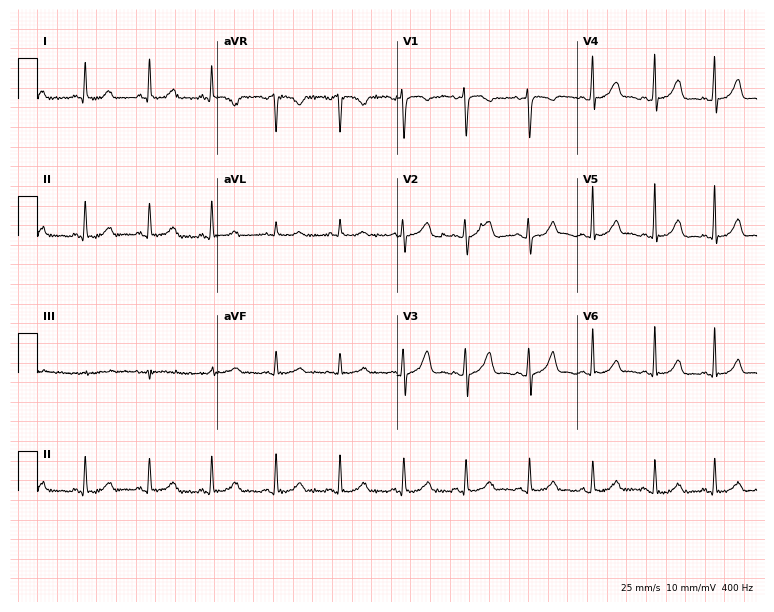
Electrocardiogram, a female, 33 years old. Of the six screened findings (first-degree AV block, right bundle branch block (RBBB), left bundle branch block (LBBB), sinus bradycardia, atrial fibrillation (AF), sinus tachycardia), none is recorded.